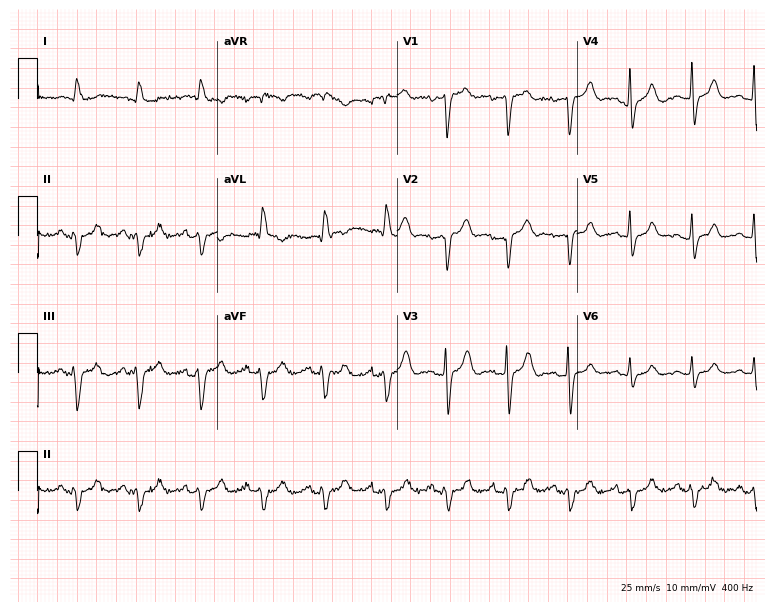
Standard 12-lead ECG recorded from a 71-year-old man. None of these six findings is recorded: first-degree AV block, right bundle branch block, left bundle branch block, sinus bradycardia, atrial fibrillation, sinus tachycardia. Only these six findings were labelled.